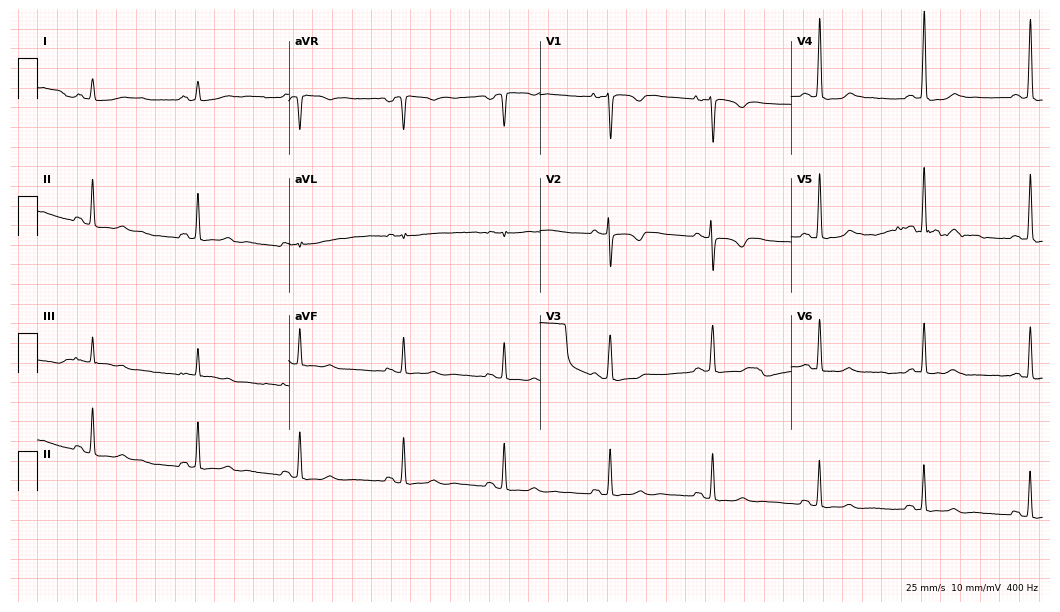
Resting 12-lead electrocardiogram. Patient: a 37-year-old female. None of these six findings is recorded: first-degree AV block, right bundle branch block, left bundle branch block, sinus bradycardia, atrial fibrillation, sinus tachycardia.